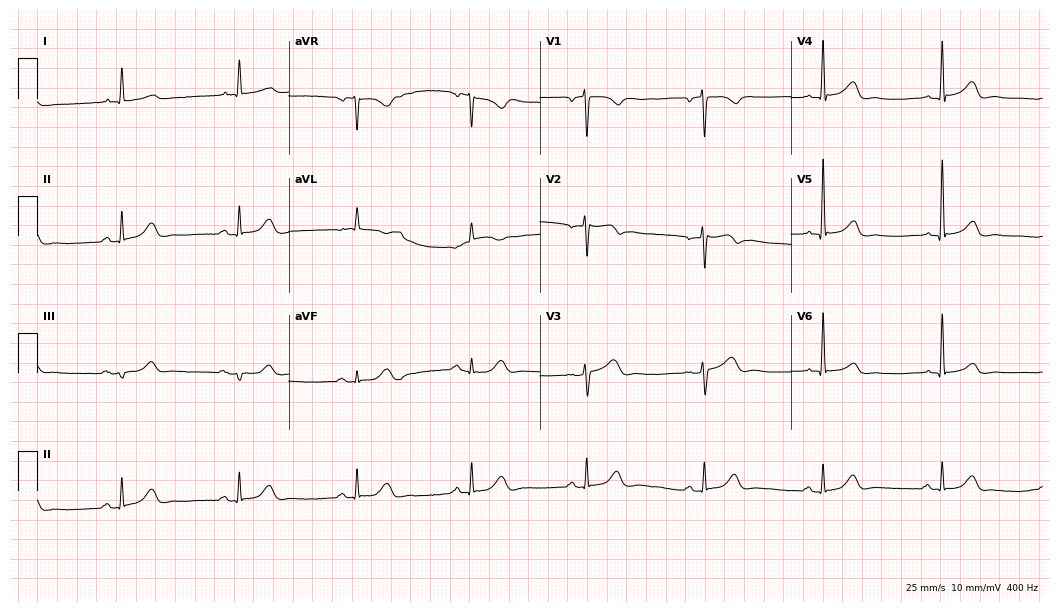
Standard 12-lead ECG recorded from a woman, 70 years old. None of these six findings is recorded: first-degree AV block, right bundle branch block, left bundle branch block, sinus bradycardia, atrial fibrillation, sinus tachycardia. Findings outside these six are not listed.